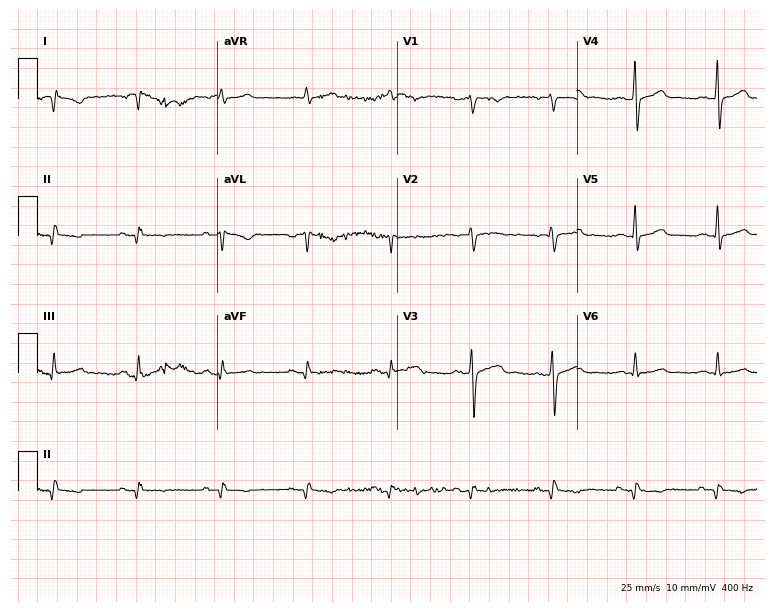
12-lead ECG from a man, 56 years old. Screened for six findings — first-degree AV block, right bundle branch block, left bundle branch block, sinus bradycardia, atrial fibrillation, sinus tachycardia — none is recorded.